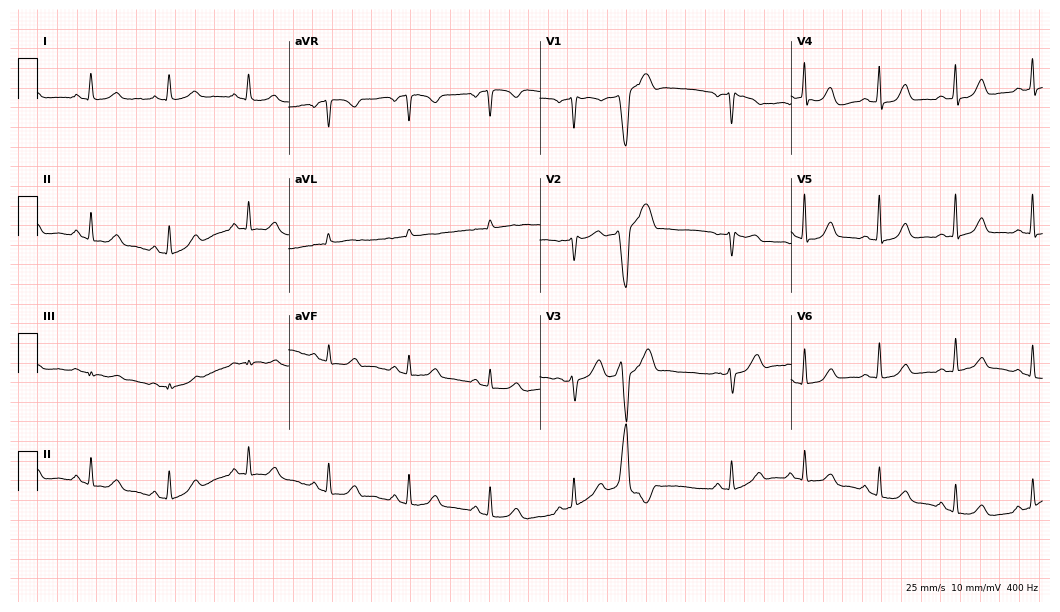
ECG (10.2-second recording at 400 Hz) — a female patient, 65 years old. Screened for six findings — first-degree AV block, right bundle branch block (RBBB), left bundle branch block (LBBB), sinus bradycardia, atrial fibrillation (AF), sinus tachycardia — none is recorded.